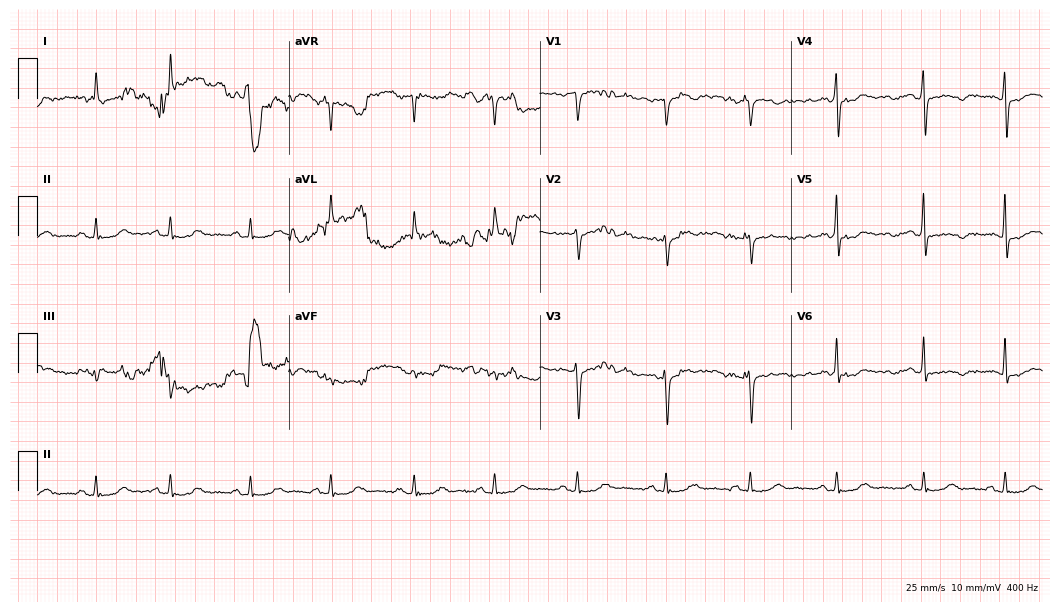
12-lead ECG from a 59-year-old woman. Screened for six findings — first-degree AV block, right bundle branch block, left bundle branch block, sinus bradycardia, atrial fibrillation, sinus tachycardia — none is recorded.